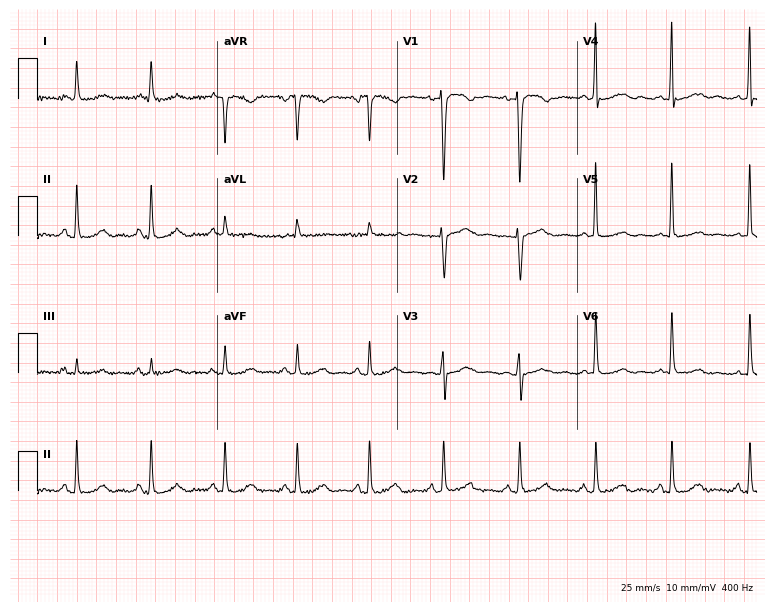
Standard 12-lead ECG recorded from a 51-year-old female patient. Read as a normal ECG.